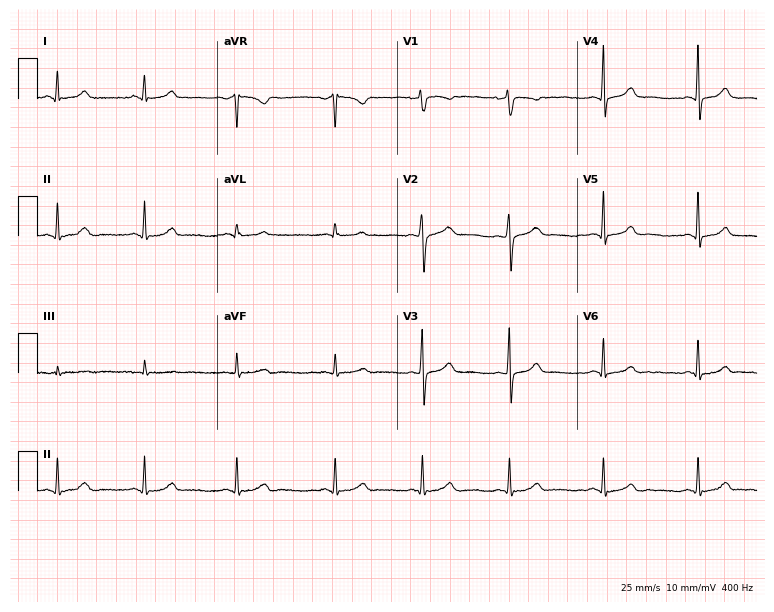
Electrocardiogram, a 22-year-old female patient. Overall reading on record: normal ECG.